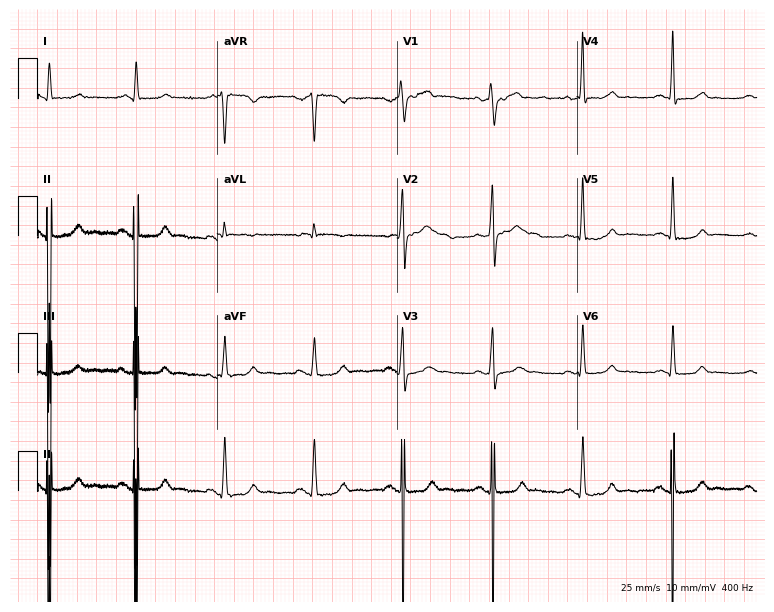
Electrocardiogram (7.3-second recording at 400 Hz), a female, 46 years old. Of the six screened findings (first-degree AV block, right bundle branch block, left bundle branch block, sinus bradycardia, atrial fibrillation, sinus tachycardia), none is recorded. Other findings, if any, are not listed.